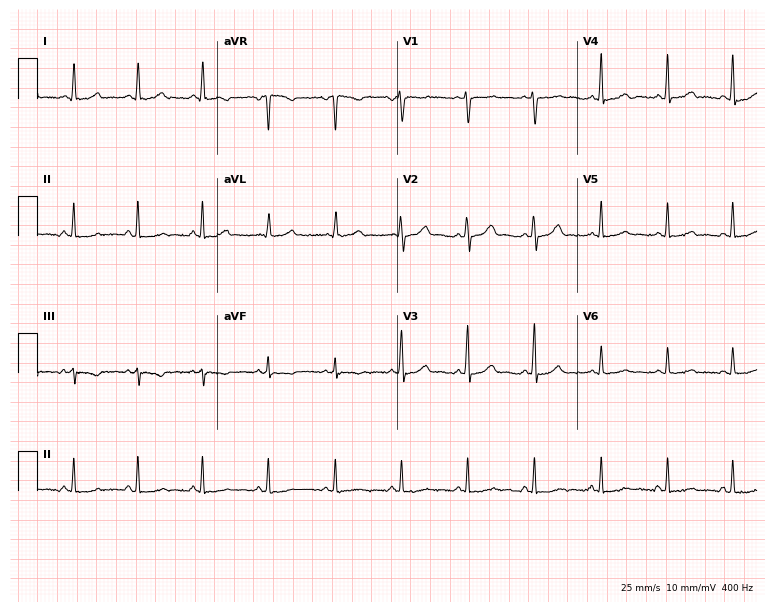
Resting 12-lead electrocardiogram. Patient: a woman, 44 years old. Read as a normal ECG.